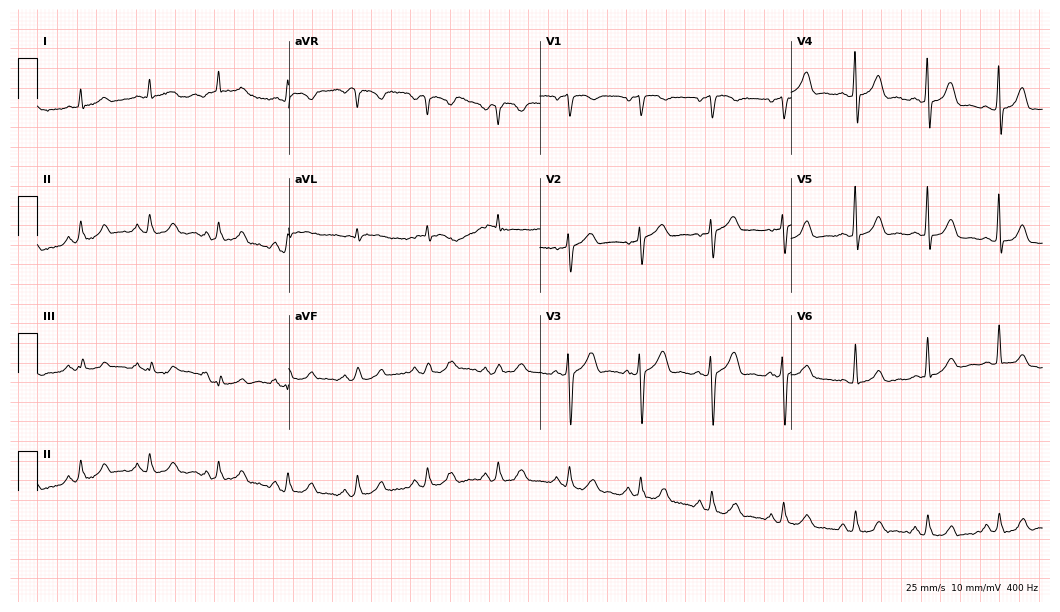
Electrocardiogram, a male patient, 56 years old. Overall reading on record: normal ECG.